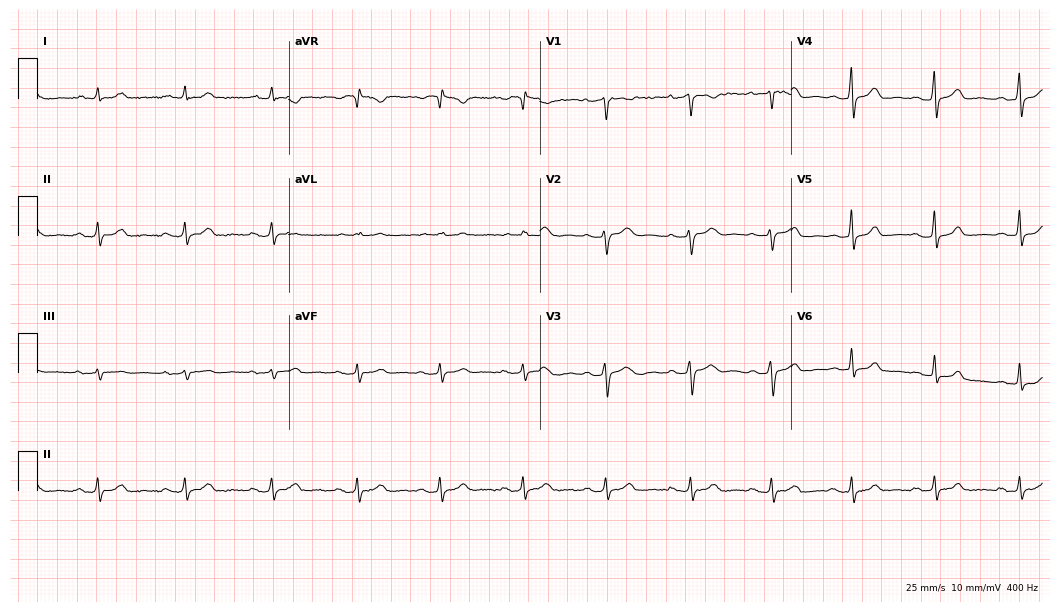
Resting 12-lead electrocardiogram (10.2-second recording at 400 Hz). Patient: a female, 39 years old. Read as a normal ECG.